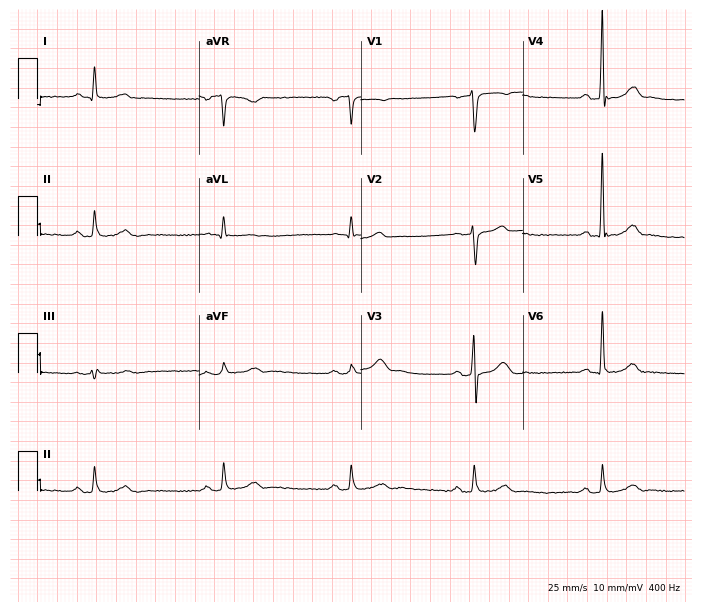
Electrocardiogram (6.6-second recording at 400 Hz), a 32-year-old man. Of the six screened findings (first-degree AV block, right bundle branch block, left bundle branch block, sinus bradycardia, atrial fibrillation, sinus tachycardia), none is recorded.